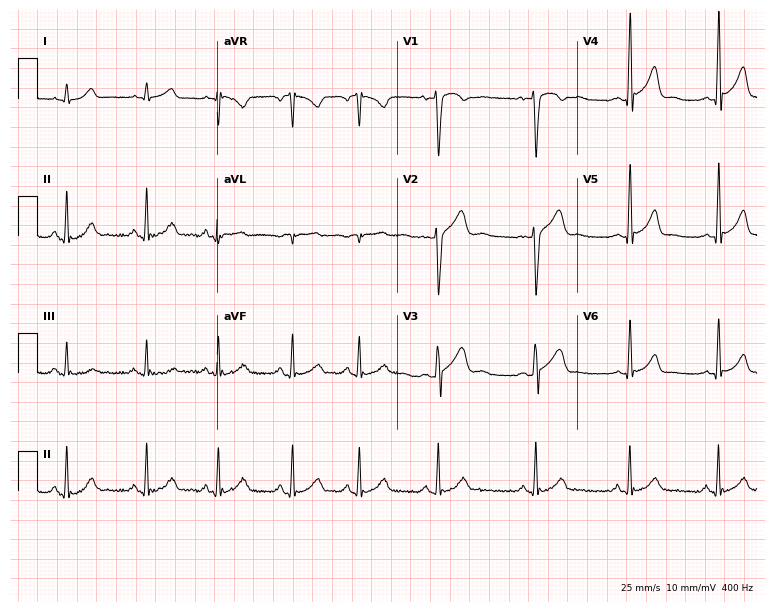
12-lead ECG from a man, 26 years old. Labelled as a normal ECG.